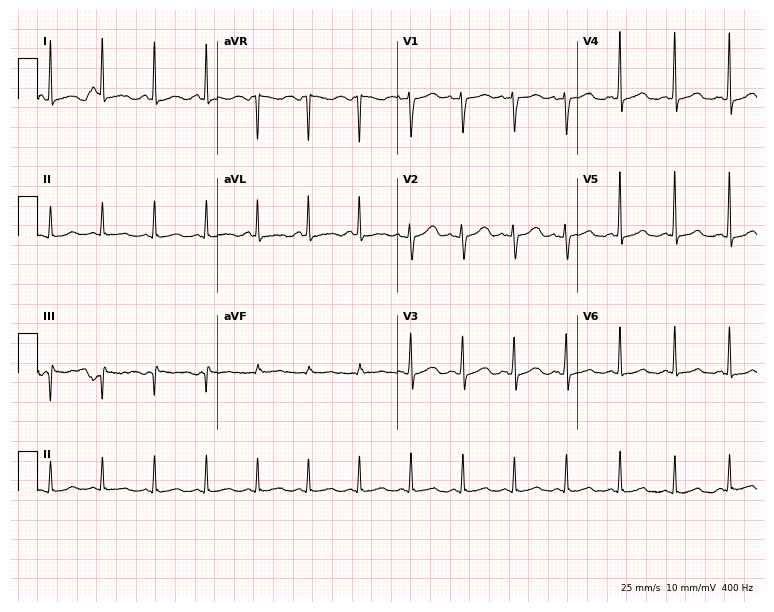
12-lead ECG from a female, 31 years old. Shows sinus tachycardia (a sinus rate of 100 beats per minute or more).